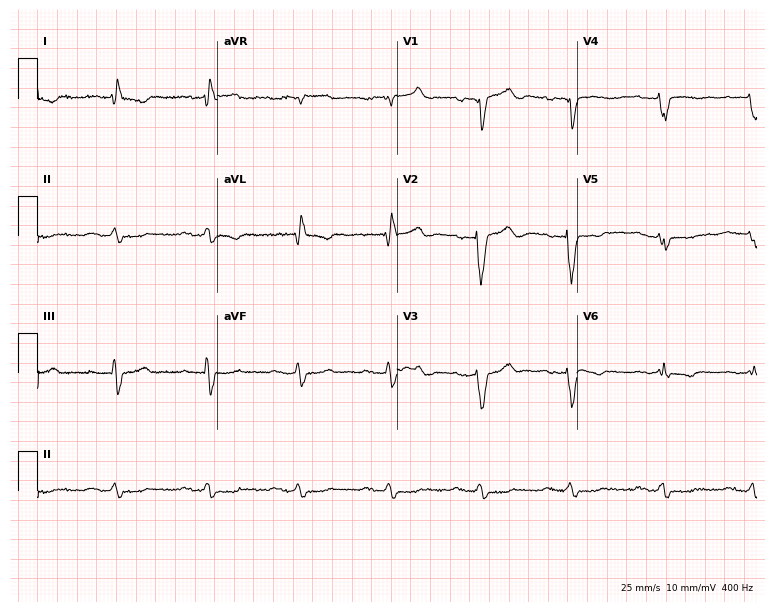
ECG — a male patient, 68 years old. Findings include first-degree AV block, left bundle branch block.